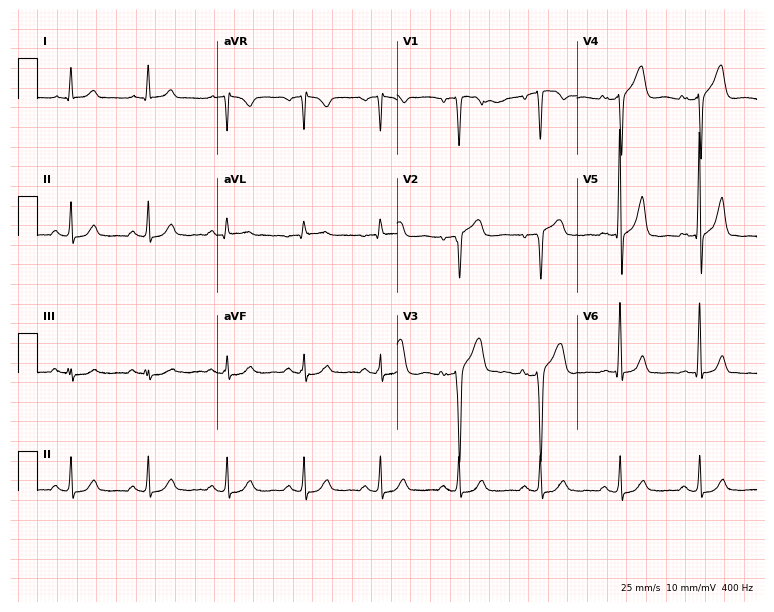
12-lead ECG from a male, 61 years old (7.3-second recording at 400 Hz). No first-degree AV block, right bundle branch block (RBBB), left bundle branch block (LBBB), sinus bradycardia, atrial fibrillation (AF) or sinus tachycardia recorded for this tracing.